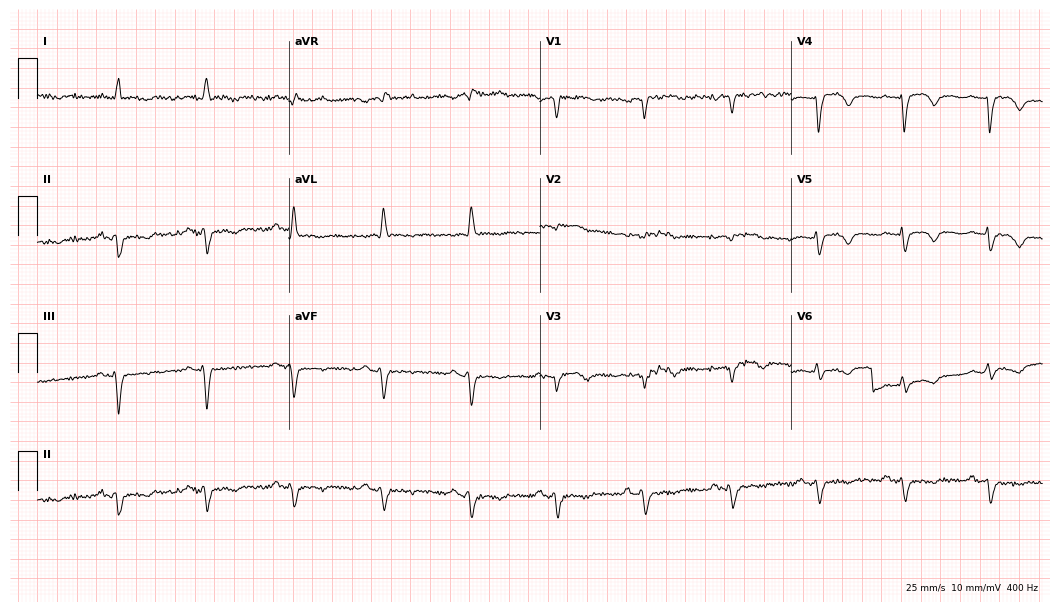
12-lead ECG (10.2-second recording at 400 Hz) from a female patient, 56 years old. Screened for six findings — first-degree AV block, right bundle branch block, left bundle branch block, sinus bradycardia, atrial fibrillation, sinus tachycardia — none is recorded.